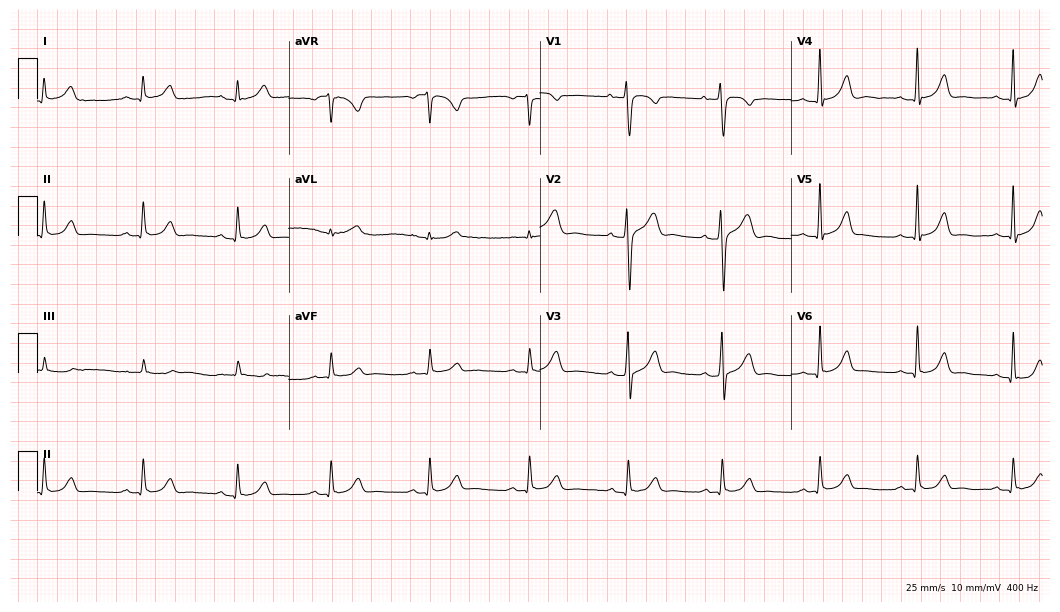
Electrocardiogram, a 19-year-old male patient. Overall reading on record: normal ECG.